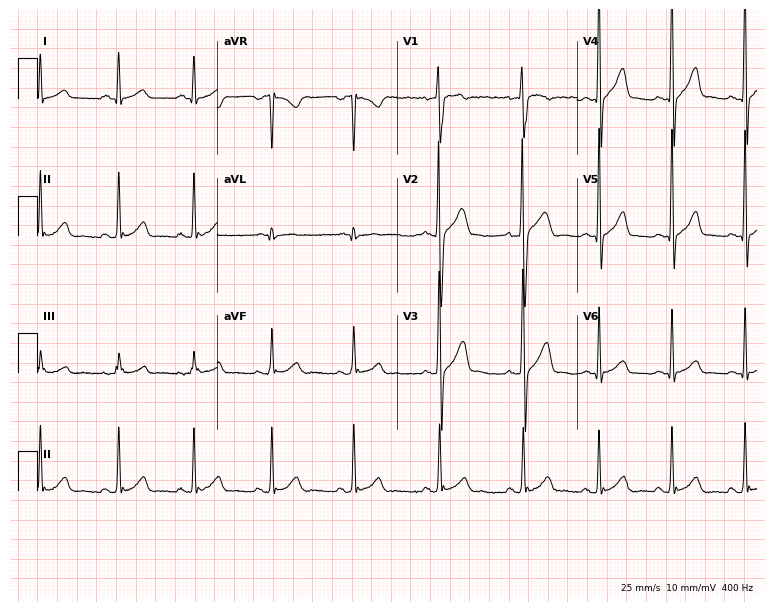
Resting 12-lead electrocardiogram. Patient: a 17-year-old male. Read as a normal ECG.